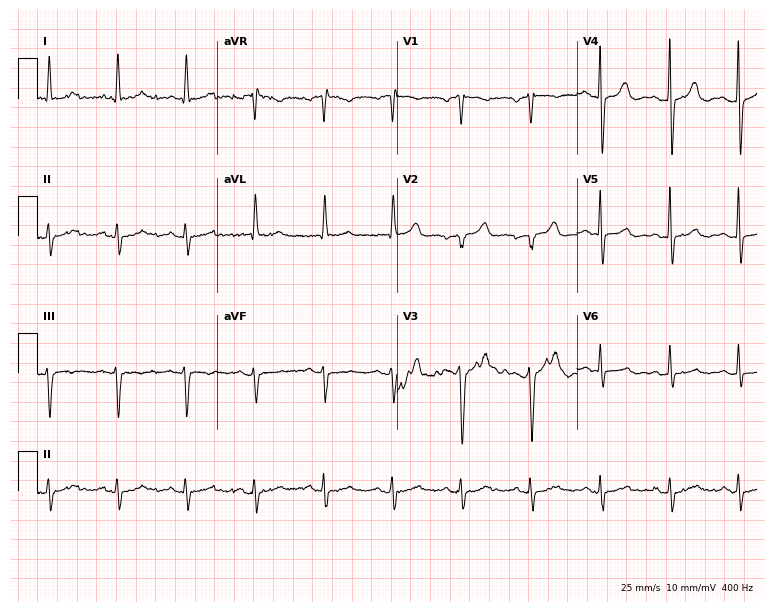
12-lead ECG from a man, 72 years old (7.3-second recording at 400 Hz). No first-degree AV block, right bundle branch block (RBBB), left bundle branch block (LBBB), sinus bradycardia, atrial fibrillation (AF) or sinus tachycardia recorded for this tracing.